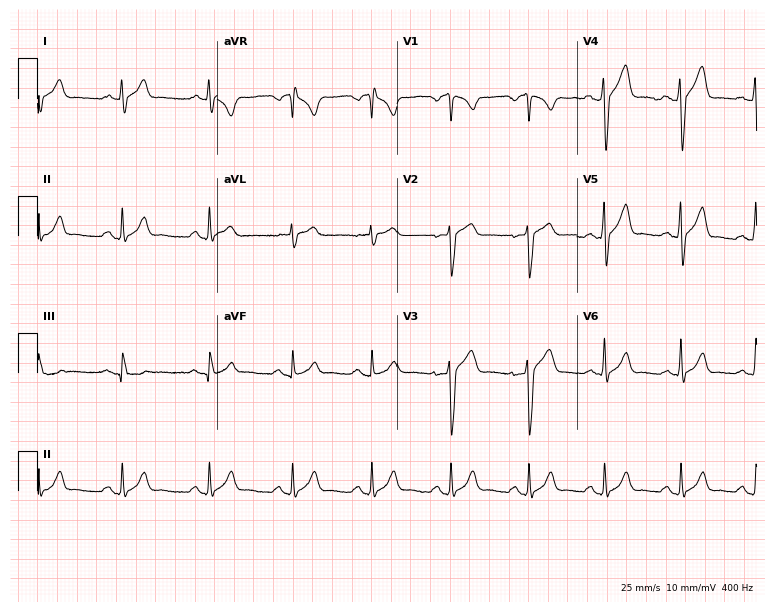
Electrocardiogram, a man, 28 years old. Overall reading on record: normal ECG.